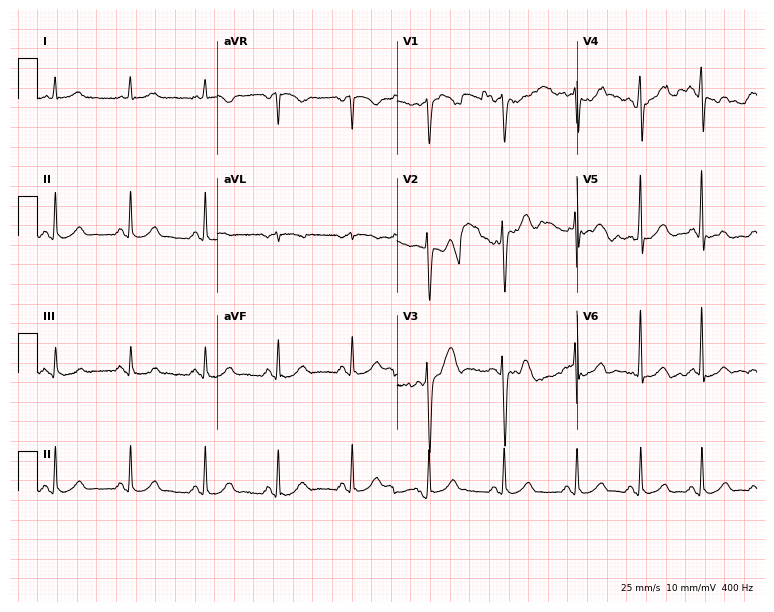
12-lead ECG from a 59-year-old man. Recorded interpretation: within normal limits.